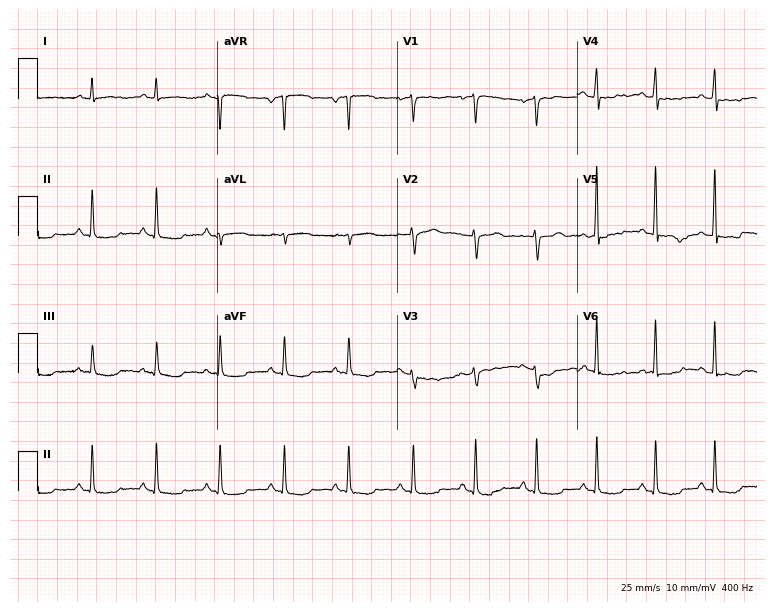
12-lead ECG from a female, 61 years old. Screened for six findings — first-degree AV block, right bundle branch block, left bundle branch block, sinus bradycardia, atrial fibrillation, sinus tachycardia — none is recorded.